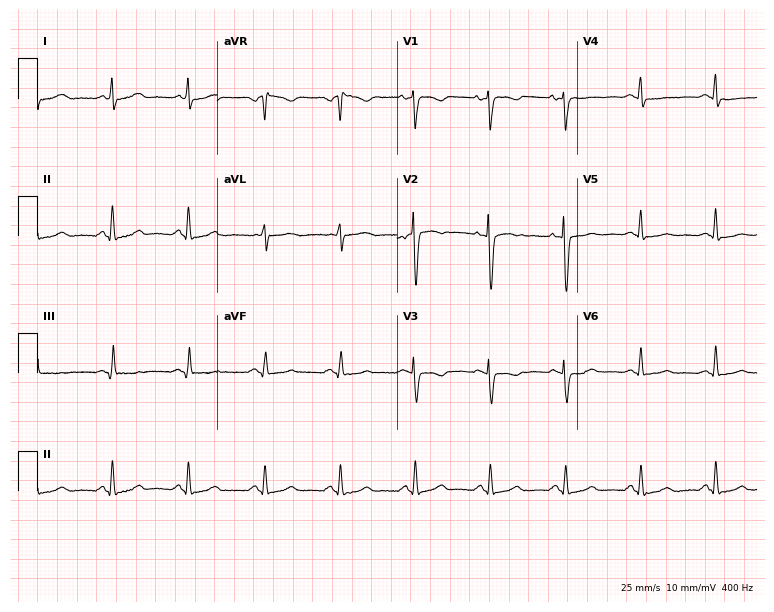
Standard 12-lead ECG recorded from a woman, 55 years old (7.3-second recording at 400 Hz). None of these six findings is recorded: first-degree AV block, right bundle branch block, left bundle branch block, sinus bradycardia, atrial fibrillation, sinus tachycardia.